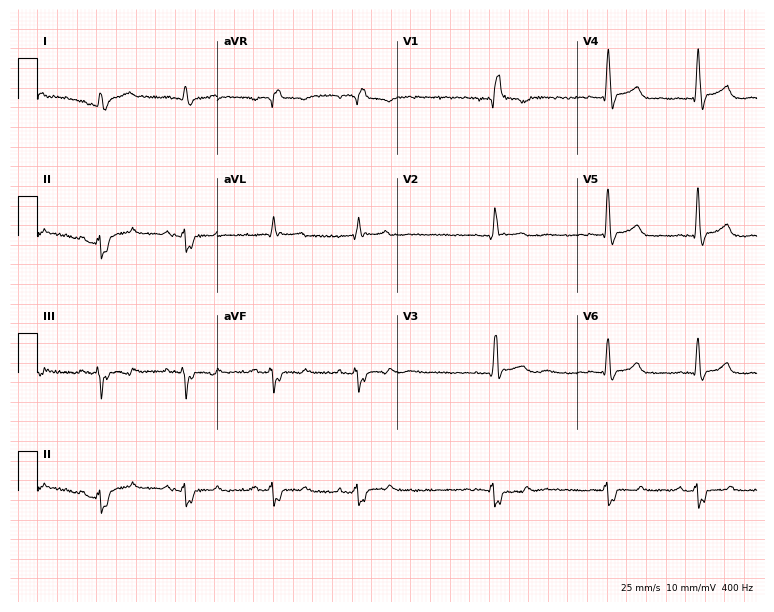
12-lead ECG from a 37-year-old male. Shows right bundle branch block (RBBB).